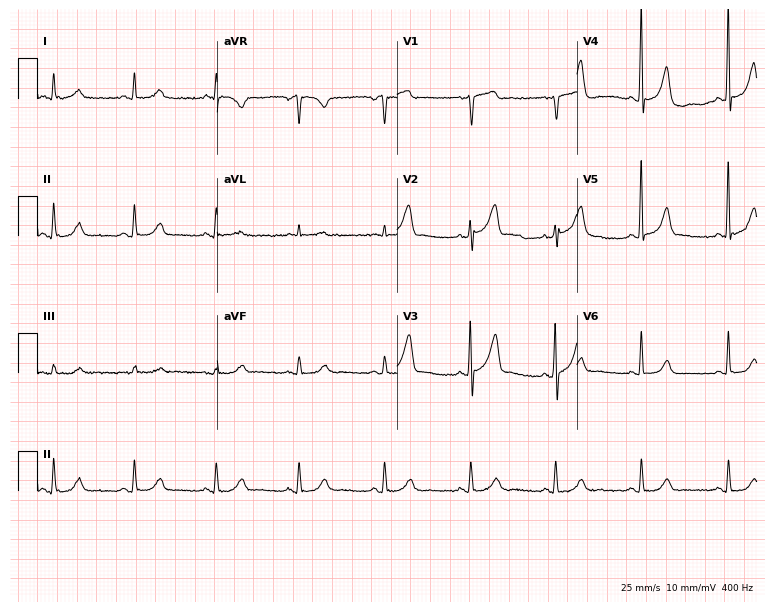
Electrocardiogram, a man, 68 years old. Of the six screened findings (first-degree AV block, right bundle branch block, left bundle branch block, sinus bradycardia, atrial fibrillation, sinus tachycardia), none is recorded. Only these six findings were labelled.